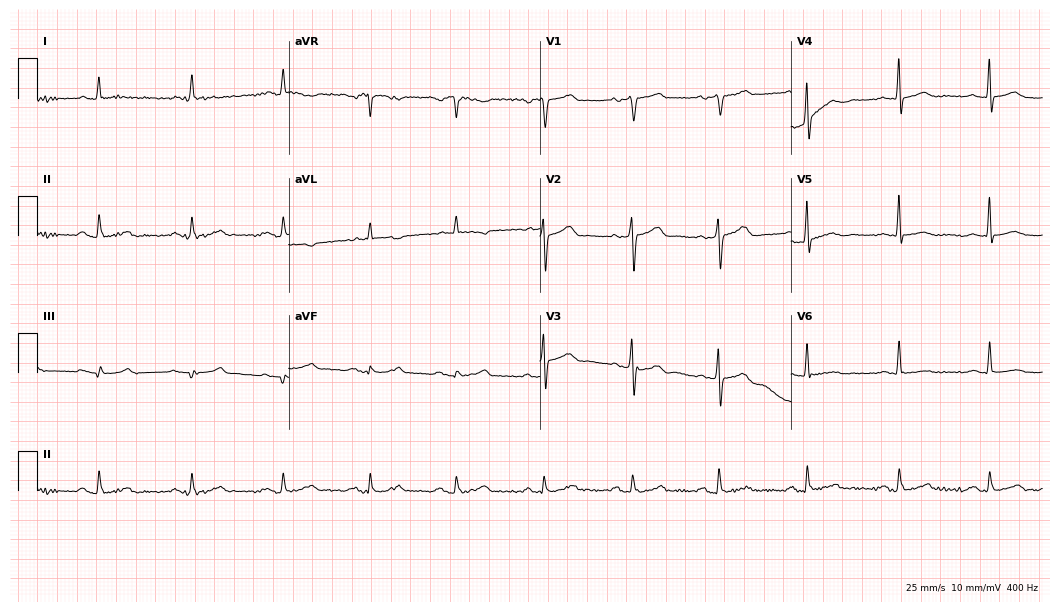
Electrocardiogram, a male patient, 70 years old. Of the six screened findings (first-degree AV block, right bundle branch block (RBBB), left bundle branch block (LBBB), sinus bradycardia, atrial fibrillation (AF), sinus tachycardia), none is recorded.